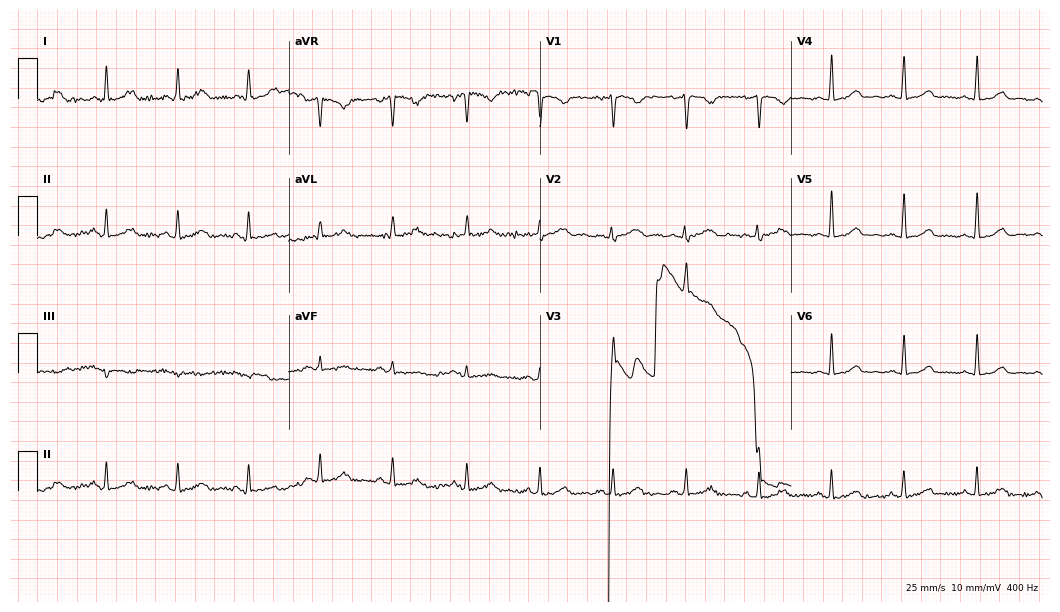
Electrocardiogram, a female patient, 48 years old. Overall reading on record: normal ECG.